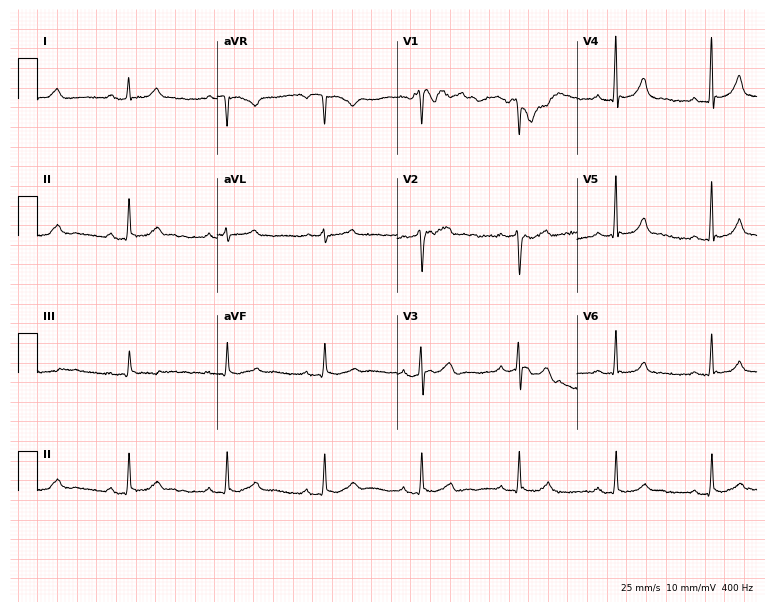
12-lead ECG from a male, 70 years old (7.3-second recording at 400 Hz). No first-degree AV block, right bundle branch block (RBBB), left bundle branch block (LBBB), sinus bradycardia, atrial fibrillation (AF) or sinus tachycardia recorded for this tracing.